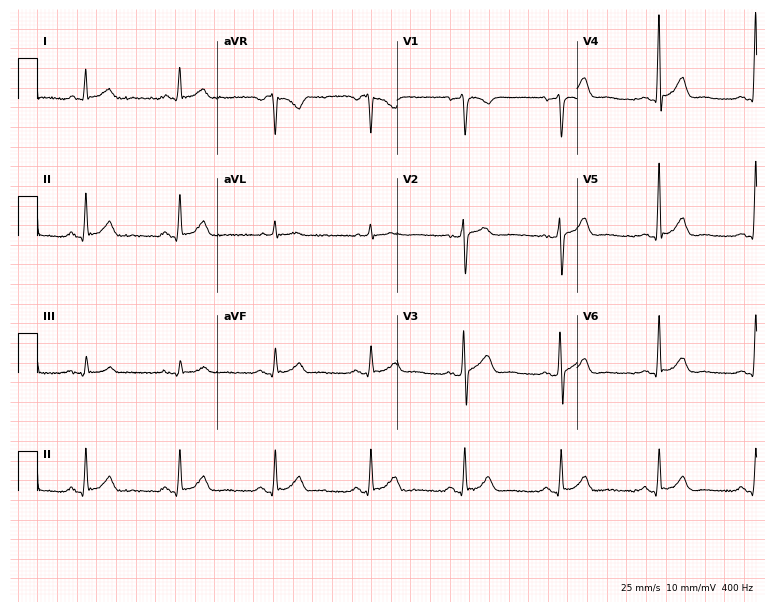
Resting 12-lead electrocardiogram. Patient: a male, 66 years old. None of these six findings is recorded: first-degree AV block, right bundle branch block, left bundle branch block, sinus bradycardia, atrial fibrillation, sinus tachycardia.